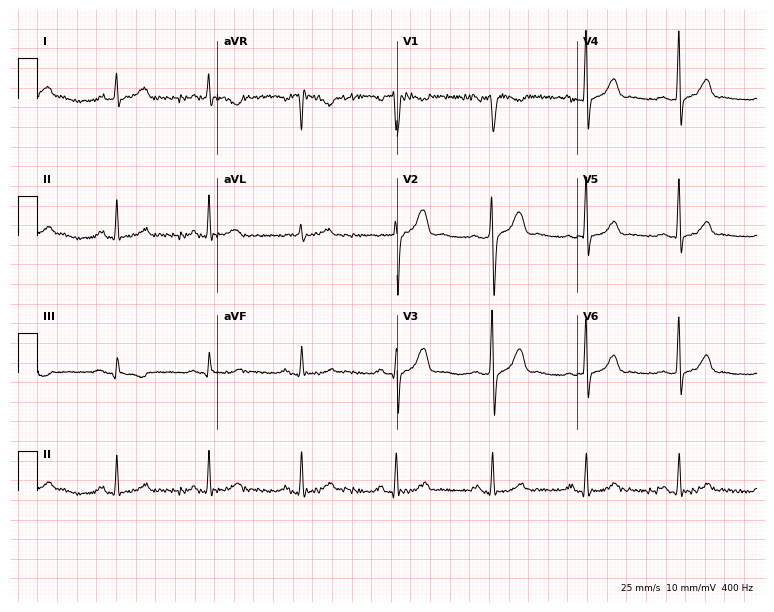
12-lead ECG from a 52-year-old male (7.3-second recording at 400 Hz). Recorded interpretation: within normal limits.